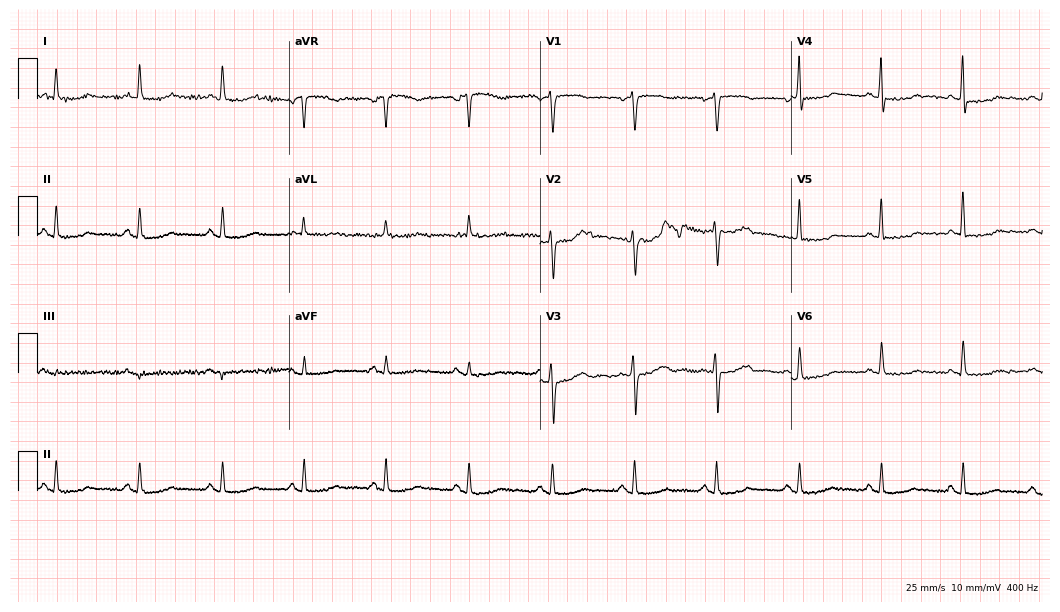
12-lead ECG (10.2-second recording at 400 Hz) from a female patient, 62 years old. Screened for six findings — first-degree AV block, right bundle branch block, left bundle branch block, sinus bradycardia, atrial fibrillation, sinus tachycardia — none is recorded. Other findings, if any, are not listed.